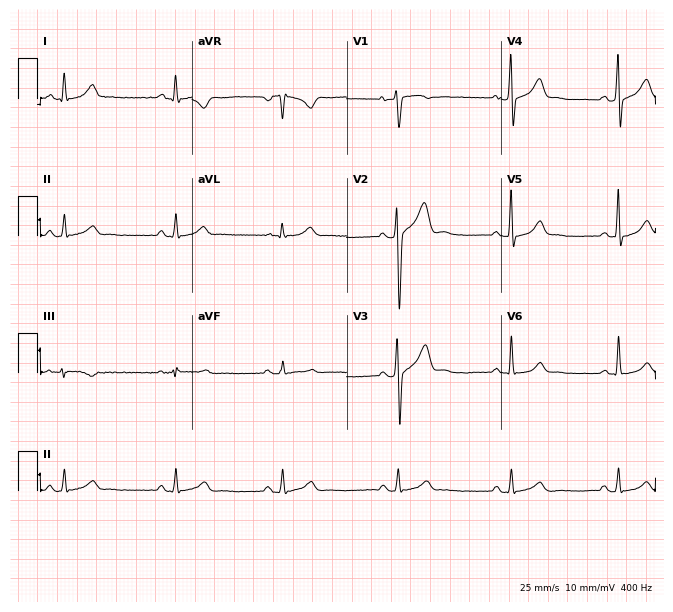
ECG — a male, 33 years old. Screened for six findings — first-degree AV block, right bundle branch block, left bundle branch block, sinus bradycardia, atrial fibrillation, sinus tachycardia — none is recorded.